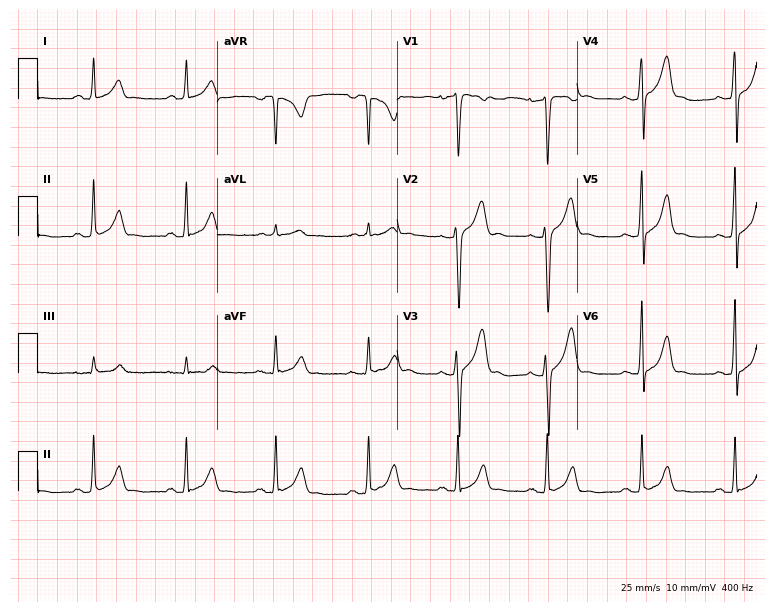
ECG (7.3-second recording at 400 Hz) — a man, 19 years old. Labelled as a normal ECG.